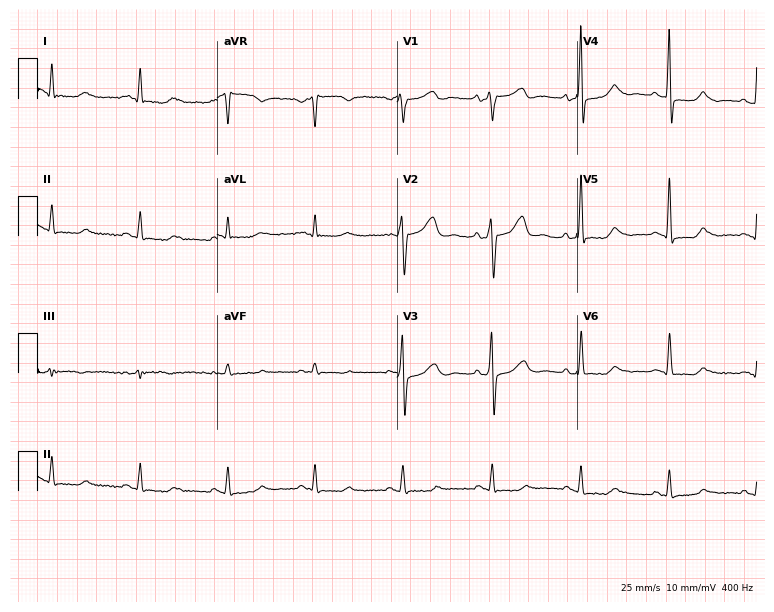
Electrocardiogram, a 52-year-old male. Of the six screened findings (first-degree AV block, right bundle branch block, left bundle branch block, sinus bradycardia, atrial fibrillation, sinus tachycardia), none is recorded. Findings outside these six are not listed.